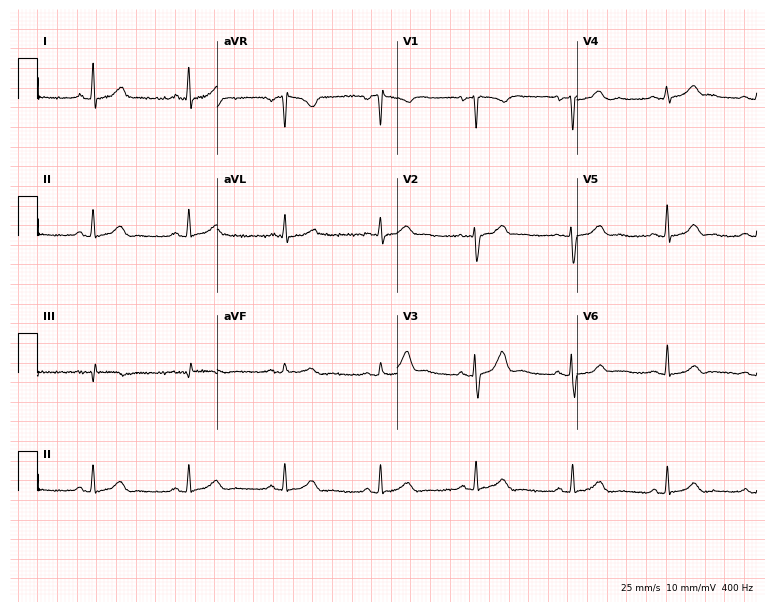
12-lead ECG from a female, 34 years old. Recorded interpretation: within normal limits.